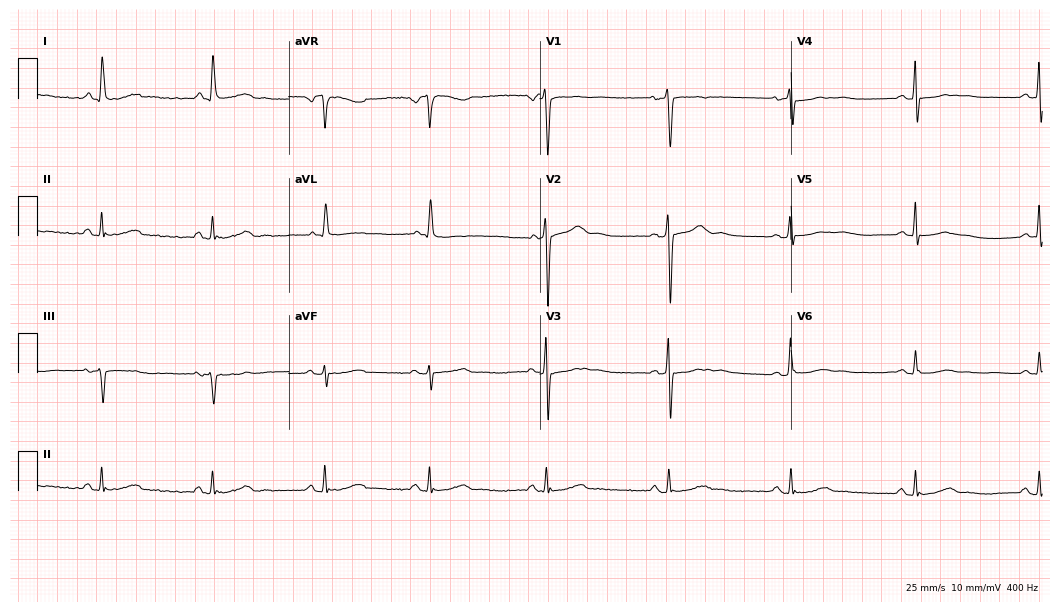
12-lead ECG (10.2-second recording at 400 Hz) from a 63-year-old female patient. Screened for six findings — first-degree AV block, right bundle branch block, left bundle branch block, sinus bradycardia, atrial fibrillation, sinus tachycardia — none is recorded.